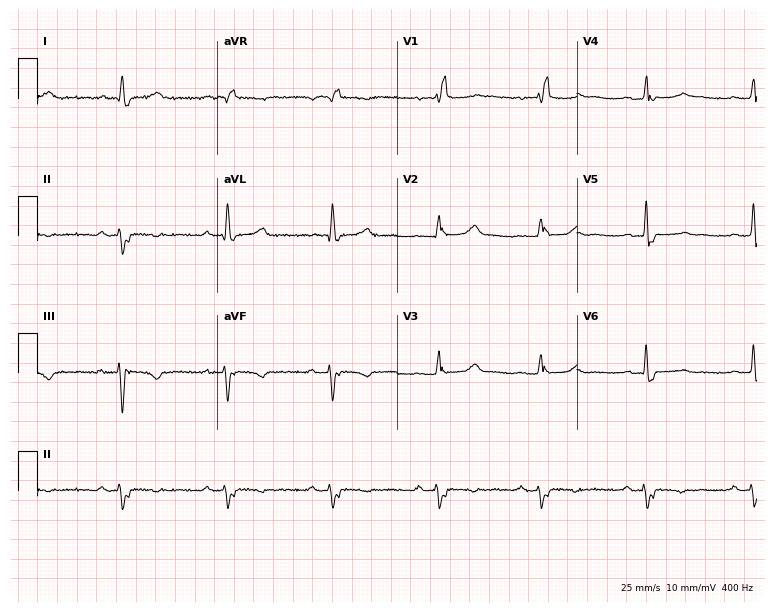
ECG (7.3-second recording at 400 Hz) — a 54-year-old female patient. Findings include right bundle branch block (RBBB).